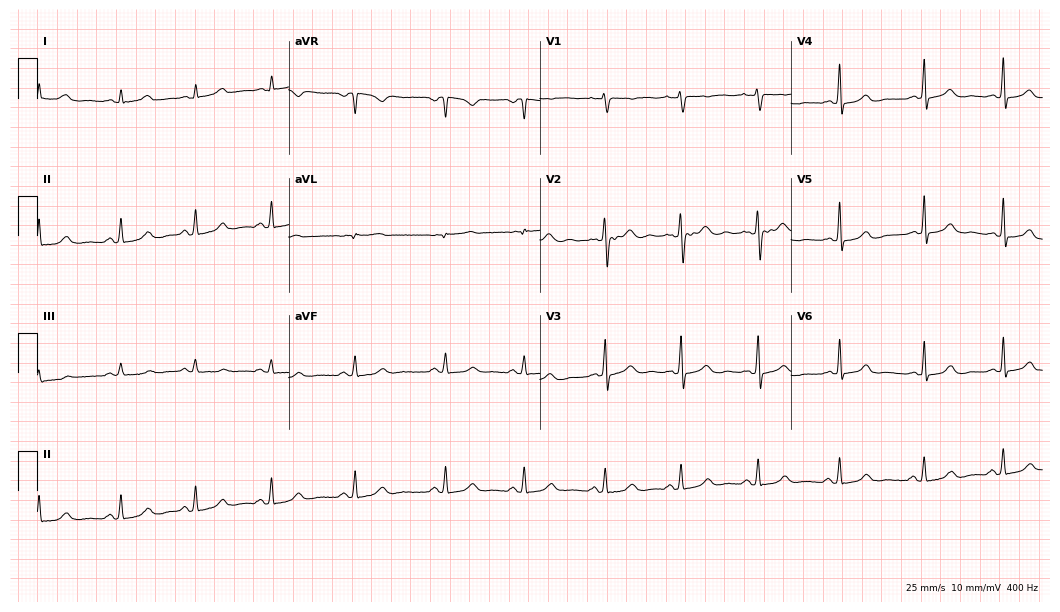
Electrocardiogram, a 35-year-old female. Overall reading on record: normal ECG.